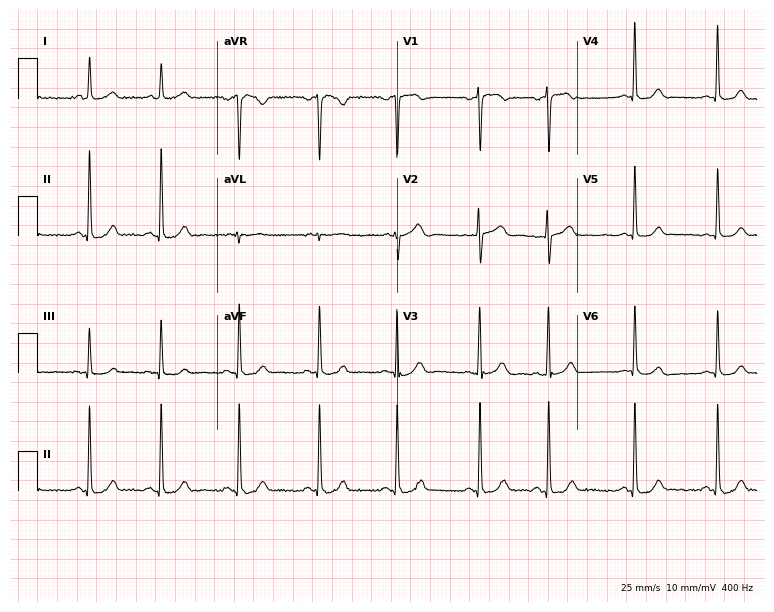
ECG — a 46-year-old female. Screened for six findings — first-degree AV block, right bundle branch block, left bundle branch block, sinus bradycardia, atrial fibrillation, sinus tachycardia — none is recorded. Only these six findings were labelled.